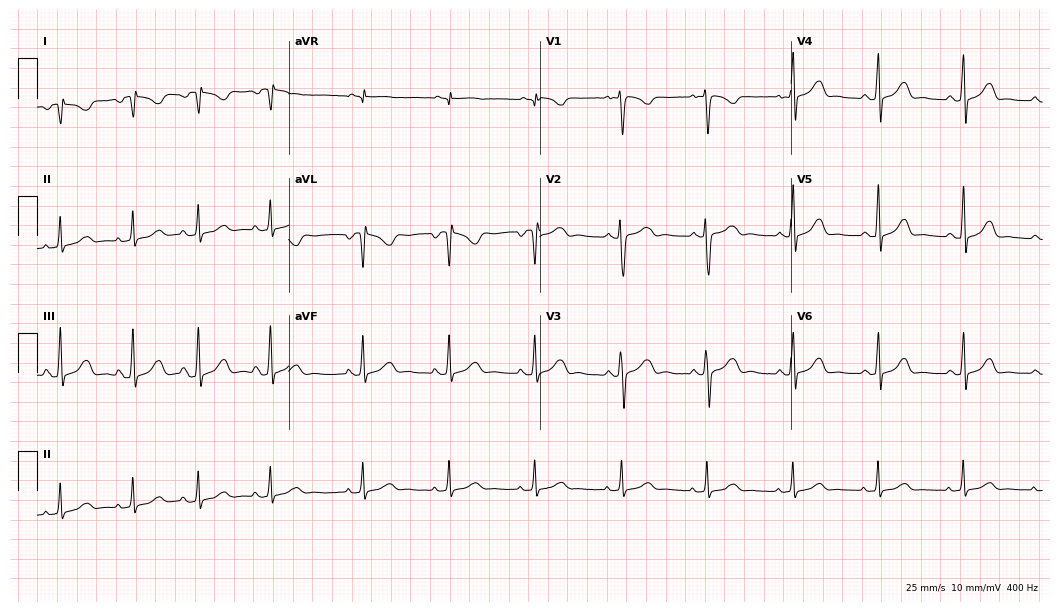
Electrocardiogram, a woman, 18 years old. Of the six screened findings (first-degree AV block, right bundle branch block (RBBB), left bundle branch block (LBBB), sinus bradycardia, atrial fibrillation (AF), sinus tachycardia), none is recorded.